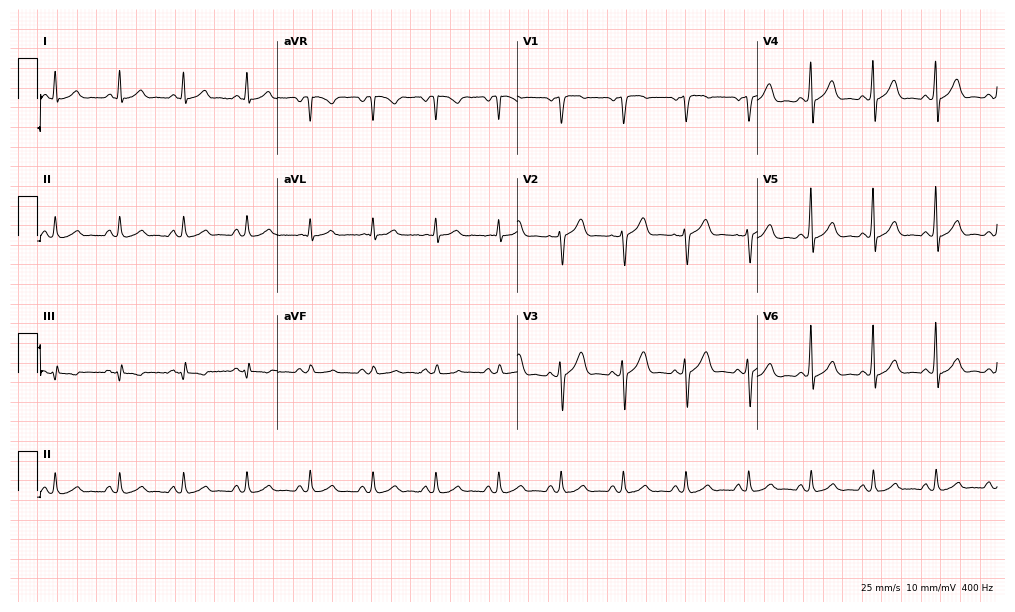
Resting 12-lead electrocardiogram. Patient: a 64-year-old male. Read as a normal ECG.